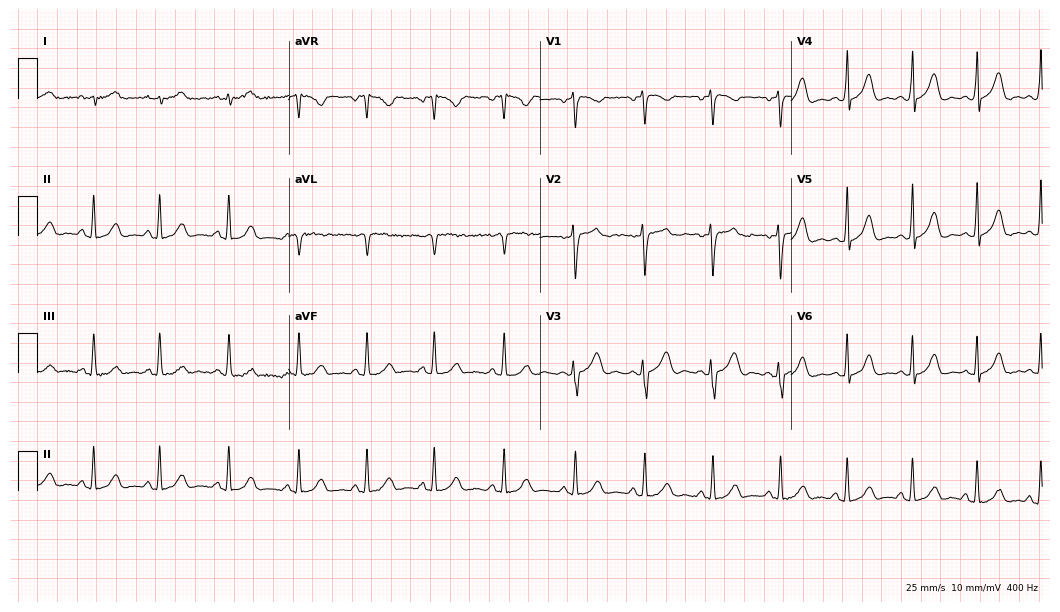
Electrocardiogram, a 36-year-old woman. Overall reading on record: normal ECG.